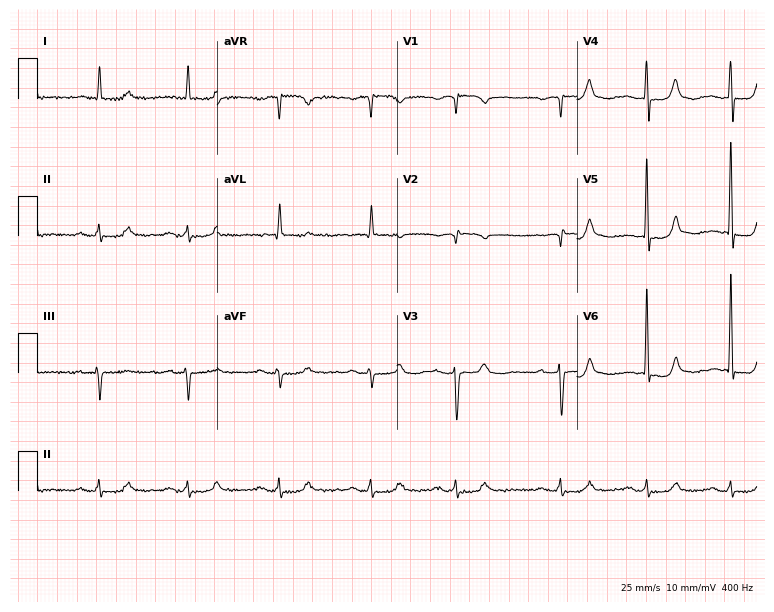
Standard 12-lead ECG recorded from an 83-year-old female patient (7.3-second recording at 400 Hz). Read as a normal ECG.